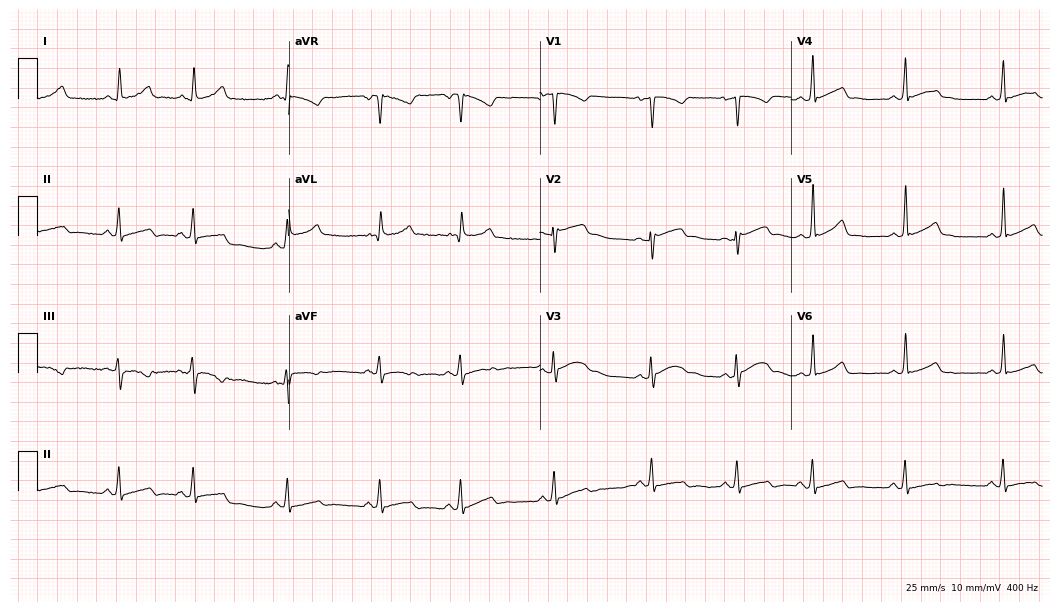
12-lead ECG from a woman, 21 years old. Screened for six findings — first-degree AV block, right bundle branch block, left bundle branch block, sinus bradycardia, atrial fibrillation, sinus tachycardia — none is recorded.